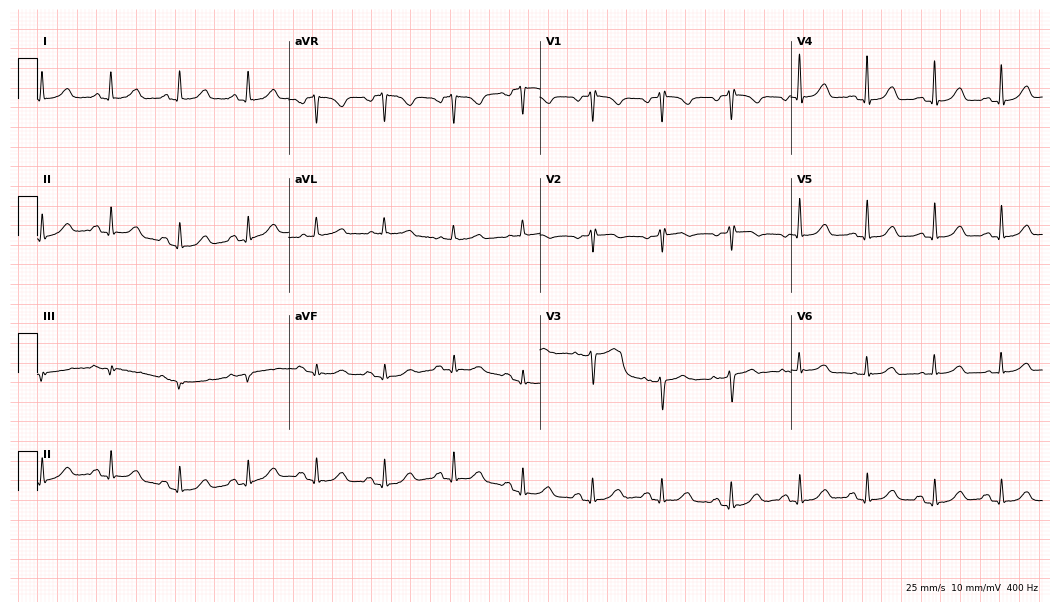
Standard 12-lead ECG recorded from a female patient, 61 years old. None of these six findings is recorded: first-degree AV block, right bundle branch block (RBBB), left bundle branch block (LBBB), sinus bradycardia, atrial fibrillation (AF), sinus tachycardia.